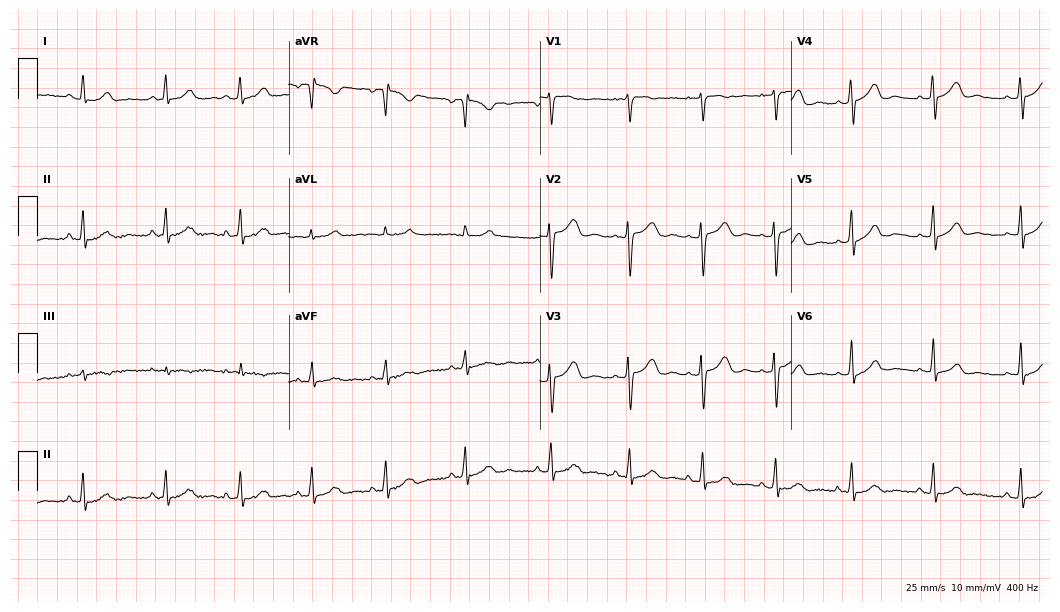
Resting 12-lead electrocardiogram (10.2-second recording at 400 Hz). Patient: a 21-year-old male. Read as a normal ECG.